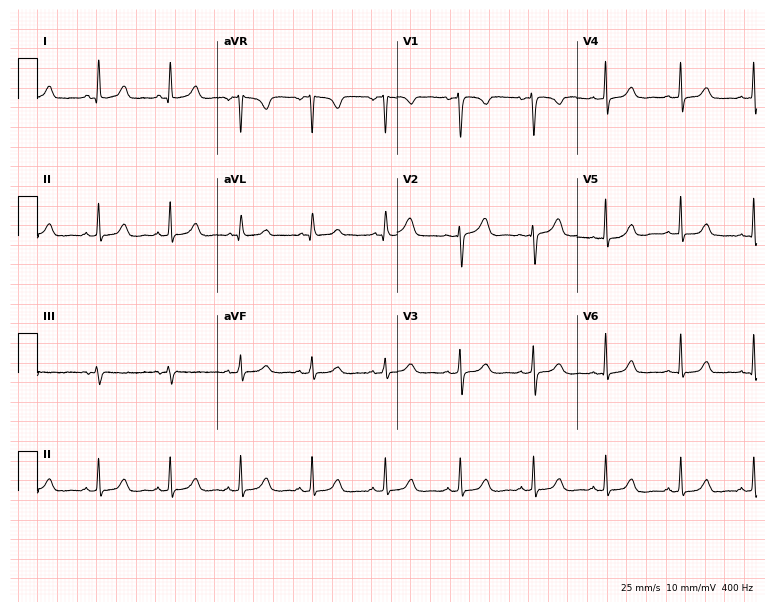
Standard 12-lead ECG recorded from a female, 37 years old (7.3-second recording at 400 Hz). None of these six findings is recorded: first-degree AV block, right bundle branch block (RBBB), left bundle branch block (LBBB), sinus bradycardia, atrial fibrillation (AF), sinus tachycardia.